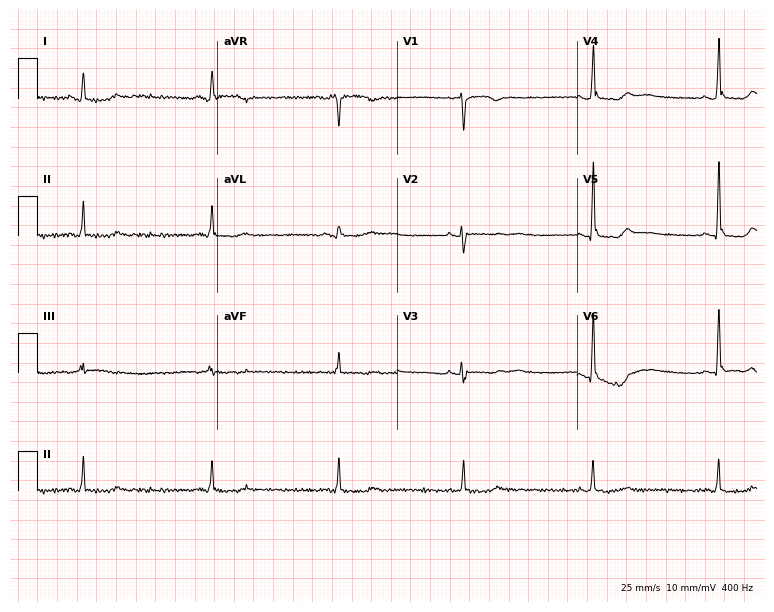
Electrocardiogram (7.3-second recording at 400 Hz), a female, 53 years old. Interpretation includes sinus bradycardia (a sinus rate of 50 beats per minute or less).